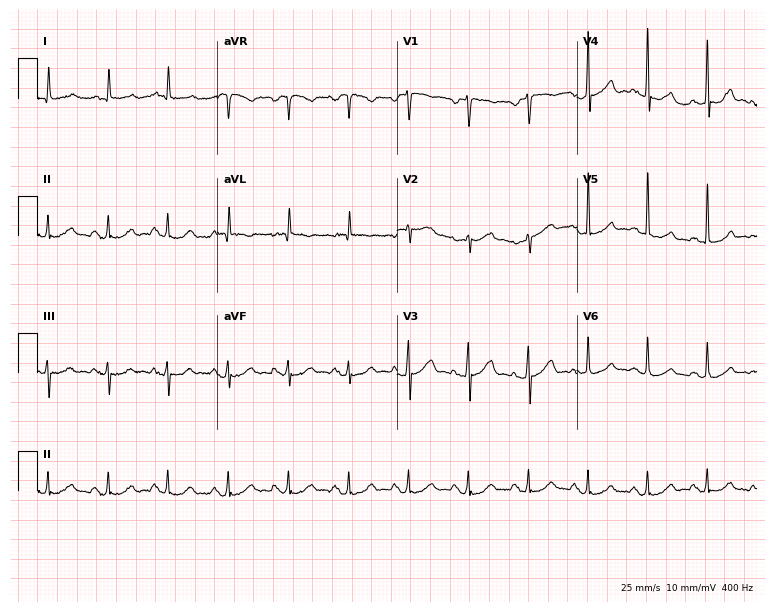
Electrocardiogram, a male, 83 years old. Overall reading on record: normal ECG.